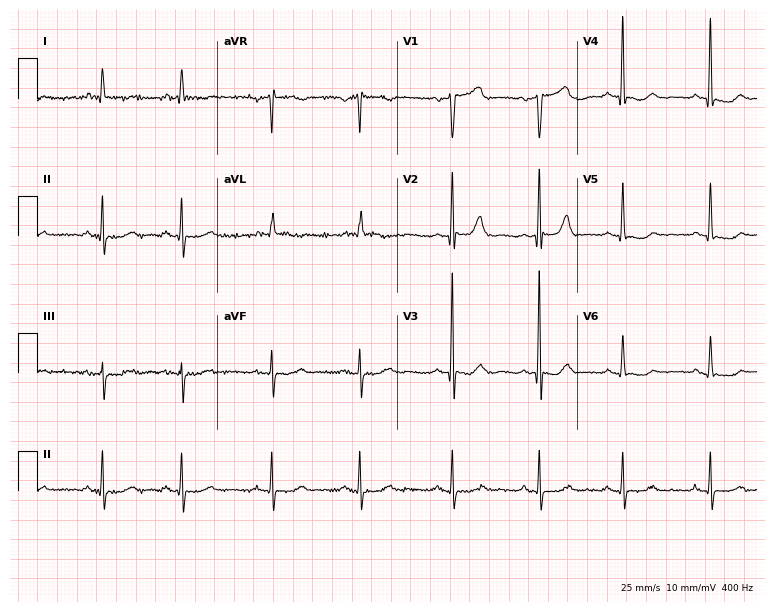
Standard 12-lead ECG recorded from an 88-year-old man. None of these six findings is recorded: first-degree AV block, right bundle branch block (RBBB), left bundle branch block (LBBB), sinus bradycardia, atrial fibrillation (AF), sinus tachycardia. Only these six findings were labelled.